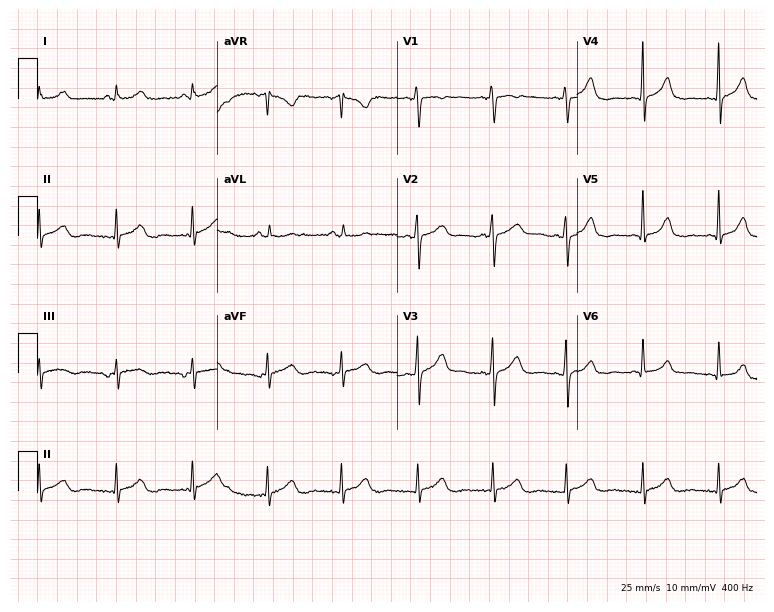
12-lead ECG from a 44-year-old female patient. Labelled as a normal ECG.